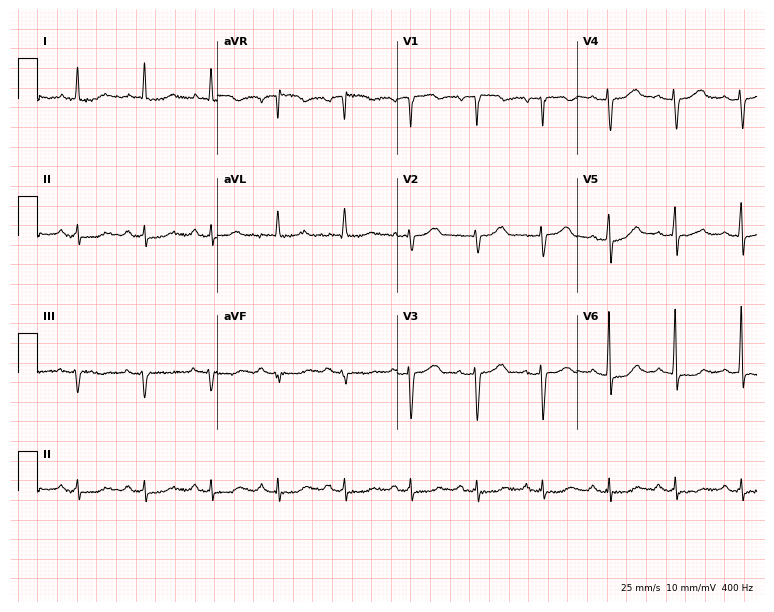
Standard 12-lead ECG recorded from a 74-year-old female patient (7.3-second recording at 400 Hz). None of these six findings is recorded: first-degree AV block, right bundle branch block, left bundle branch block, sinus bradycardia, atrial fibrillation, sinus tachycardia. Findings outside these six are not listed.